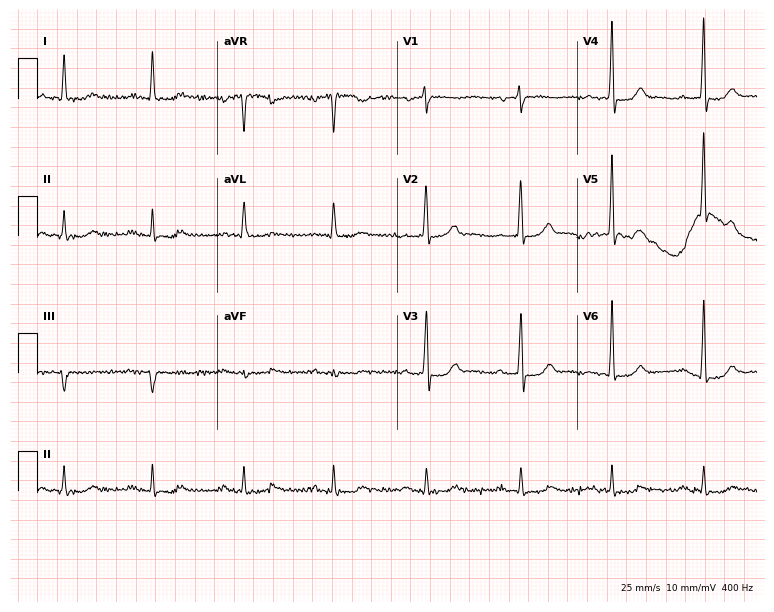
12-lead ECG from a 79-year-old man. Recorded interpretation: within normal limits.